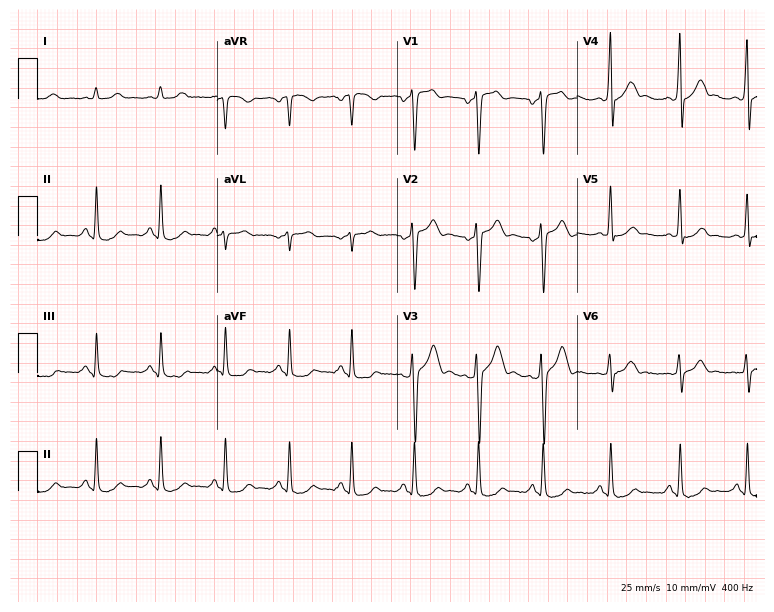
12-lead ECG from a male patient, 33 years old. No first-degree AV block, right bundle branch block, left bundle branch block, sinus bradycardia, atrial fibrillation or sinus tachycardia recorded for this tracing.